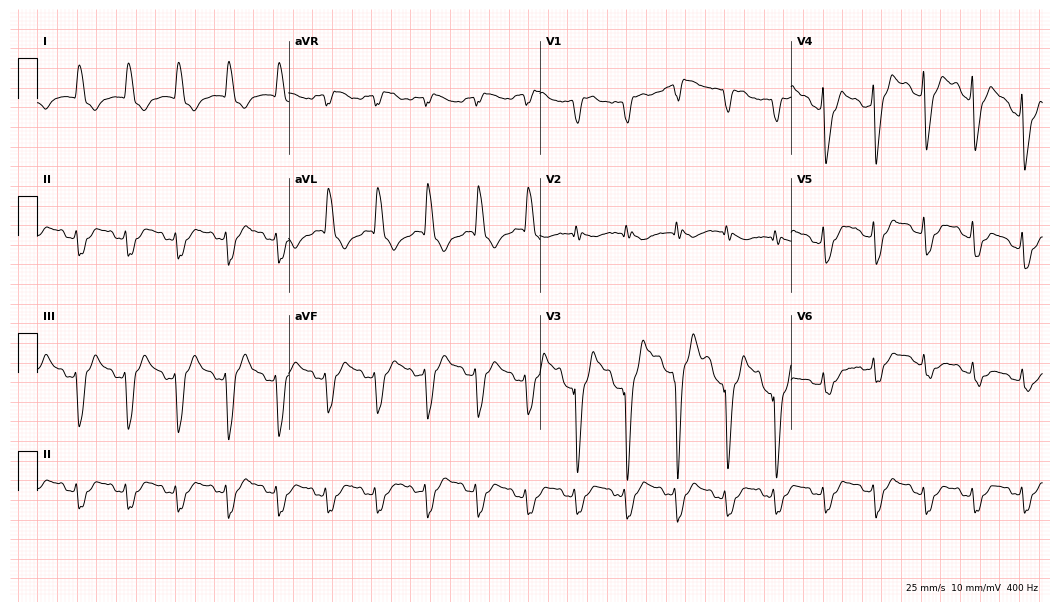
12-lead ECG from a female patient, 85 years old. Screened for six findings — first-degree AV block, right bundle branch block, left bundle branch block, sinus bradycardia, atrial fibrillation, sinus tachycardia — none is recorded. Findings outside these six are not listed.